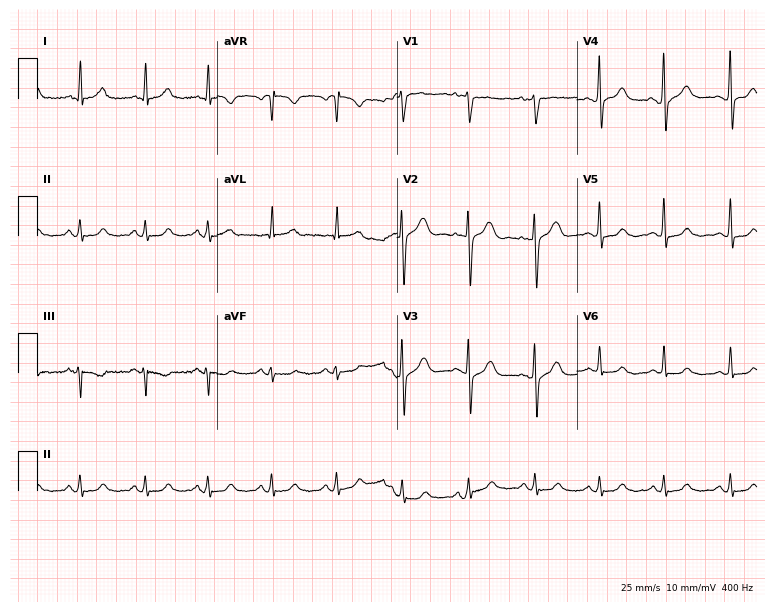
12-lead ECG from a 40-year-old woman (7.3-second recording at 400 Hz). No first-degree AV block, right bundle branch block, left bundle branch block, sinus bradycardia, atrial fibrillation or sinus tachycardia recorded for this tracing. Findings outside these six are not listed.